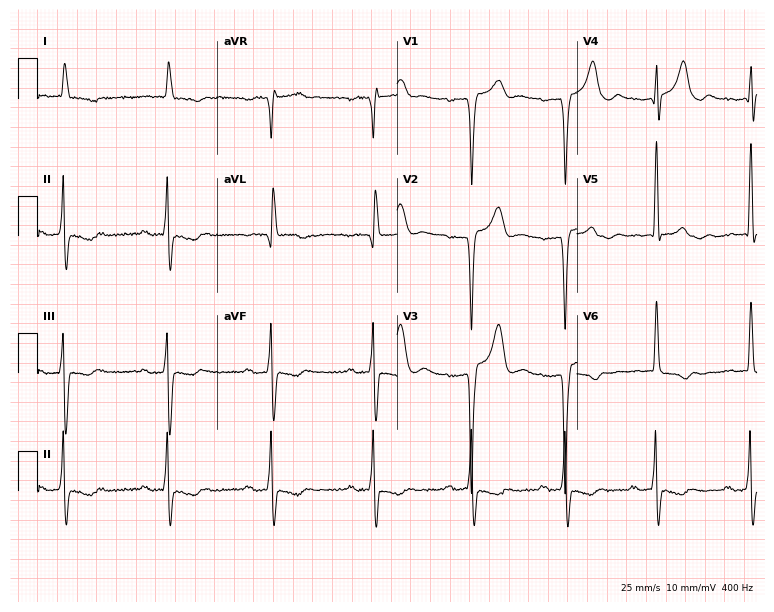
12-lead ECG from a 72-year-old man. Screened for six findings — first-degree AV block, right bundle branch block (RBBB), left bundle branch block (LBBB), sinus bradycardia, atrial fibrillation (AF), sinus tachycardia — none is recorded.